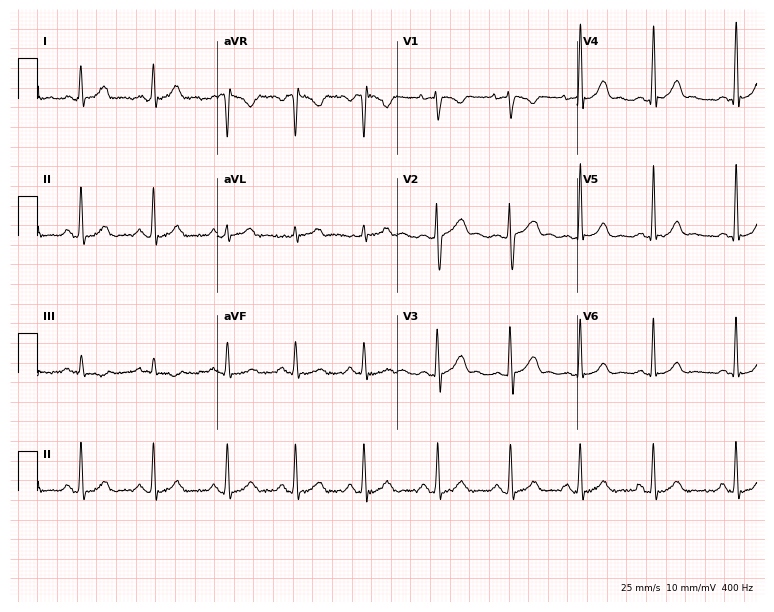
Electrocardiogram, a 26-year-old female patient. Of the six screened findings (first-degree AV block, right bundle branch block, left bundle branch block, sinus bradycardia, atrial fibrillation, sinus tachycardia), none is recorded.